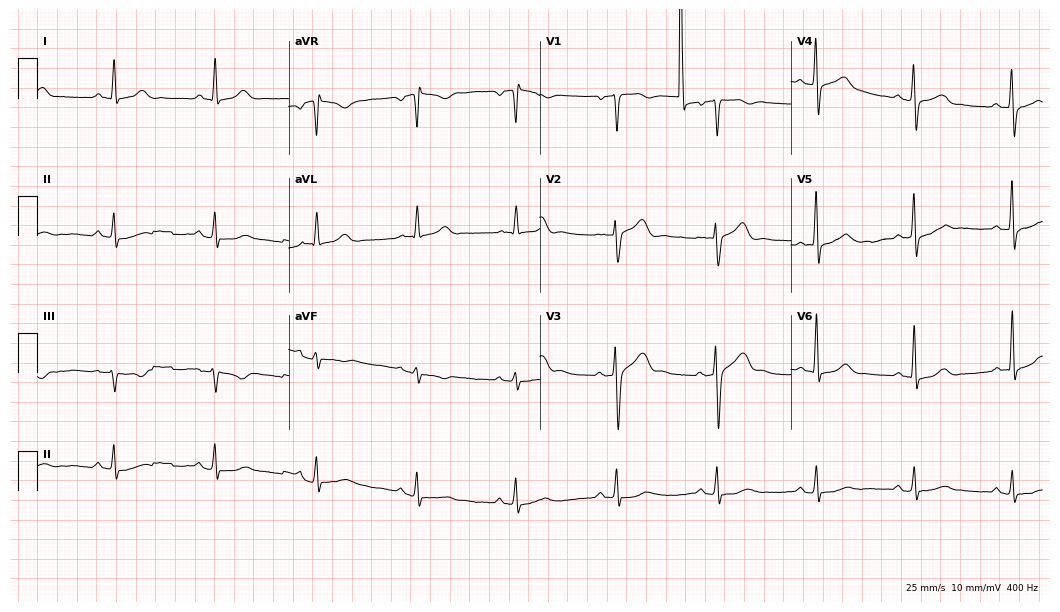
12-lead ECG (10.2-second recording at 400 Hz) from a male patient, 69 years old. Screened for six findings — first-degree AV block, right bundle branch block (RBBB), left bundle branch block (LBBB), sinus bradycardia, atrial fibrillation (AF), sinus tachycardia — none is recorded. Findings outside these six are not listed.